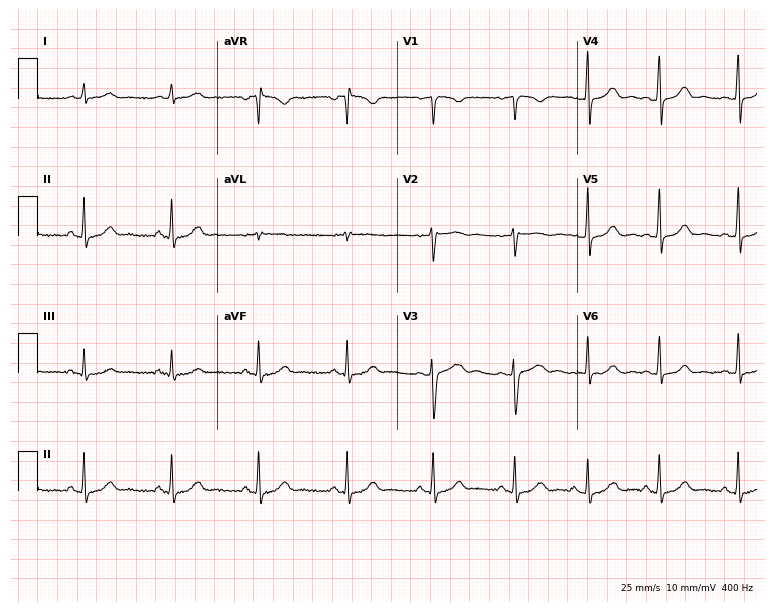
ECG — a female, 35 years old. Labelled as a normal ECG.